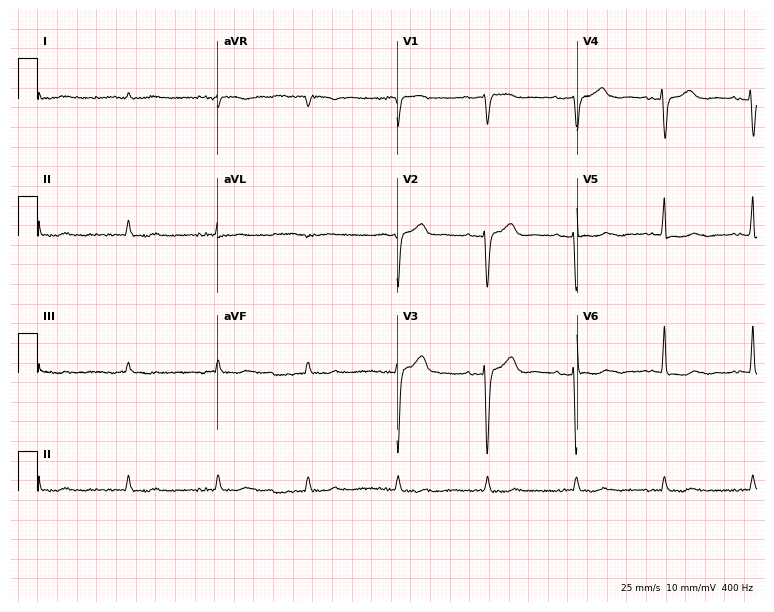
12-lead ECG (7.3-second recording at 400 Hz) from a man, 73 years old. Screened for six findings — first-degree AV block, right bundle branch block, left bundle branch block, sinus bradycardia, atrial fibrillation, sinus tachycardia — none is recorded. Other findings, if any, are not listed.